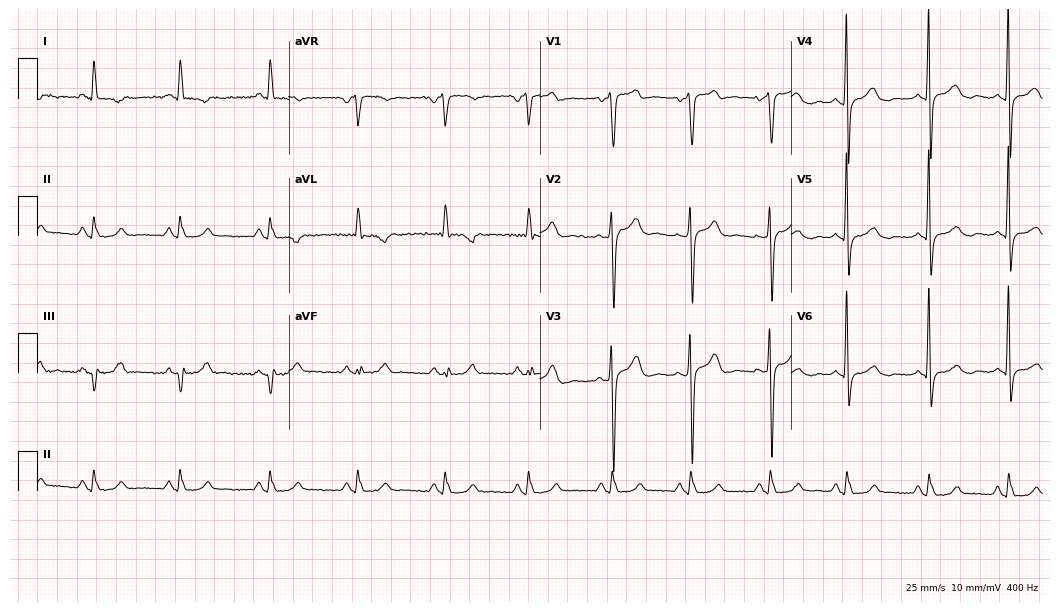
12-lead ECG (10.2-second recording at 400 Hz) from a 54-year-old male. Screened for six findings — first-degree AV block, right bundle branch block, left bundle branch block, sinus bradycardia, atrial fibrillation, sinus tachycardia — none is recorded. Only these six findings were labelled.